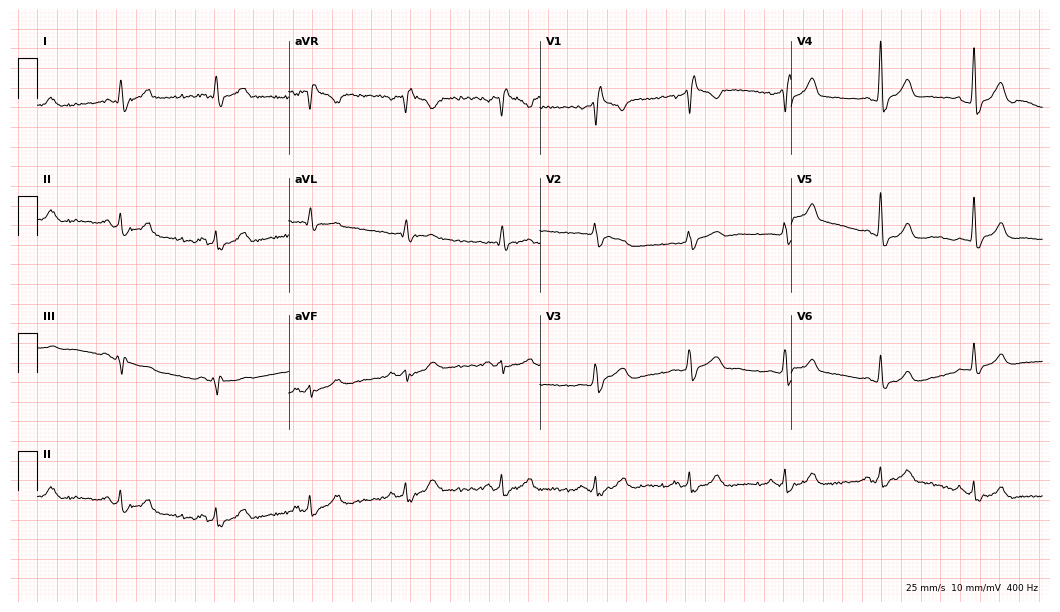
Standard 12-lead ECG recorded from a 67-year-old man. The tracing shows right bundle branch block.